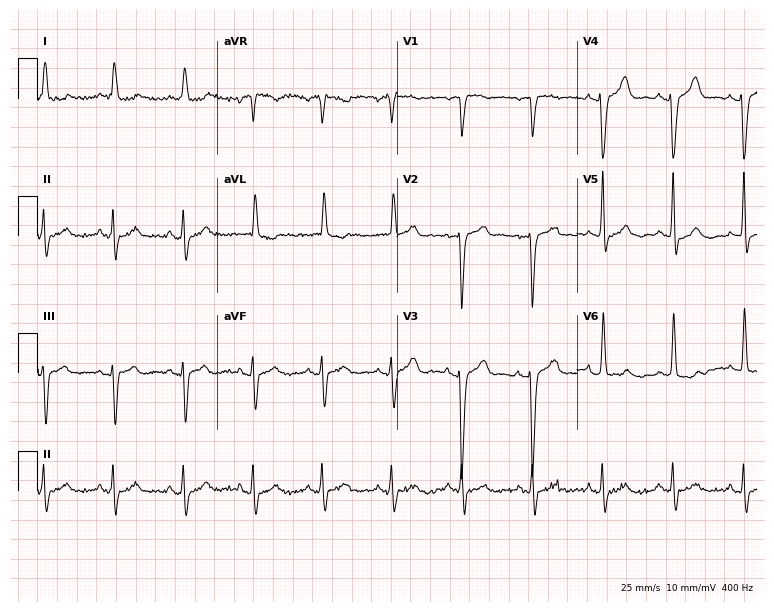
Resting 12-lead electrocardiogram. Patient: a female, 83 years old. None of these six findings is recorded: first-degree AV block, right bundle branch block, left bundle branch block, sinus bradycardia, atrial fibrillation, sinus tachycardia. Findings outside these six are not listed.